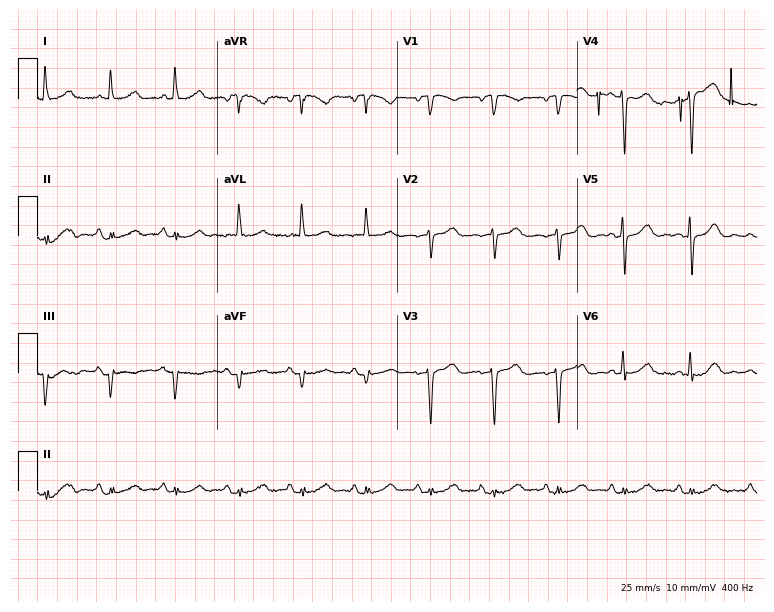
12-lead ECG from a female, 81 years old (7.3-second recording at 400 Hz). Recorded interpretation: within normal limits.